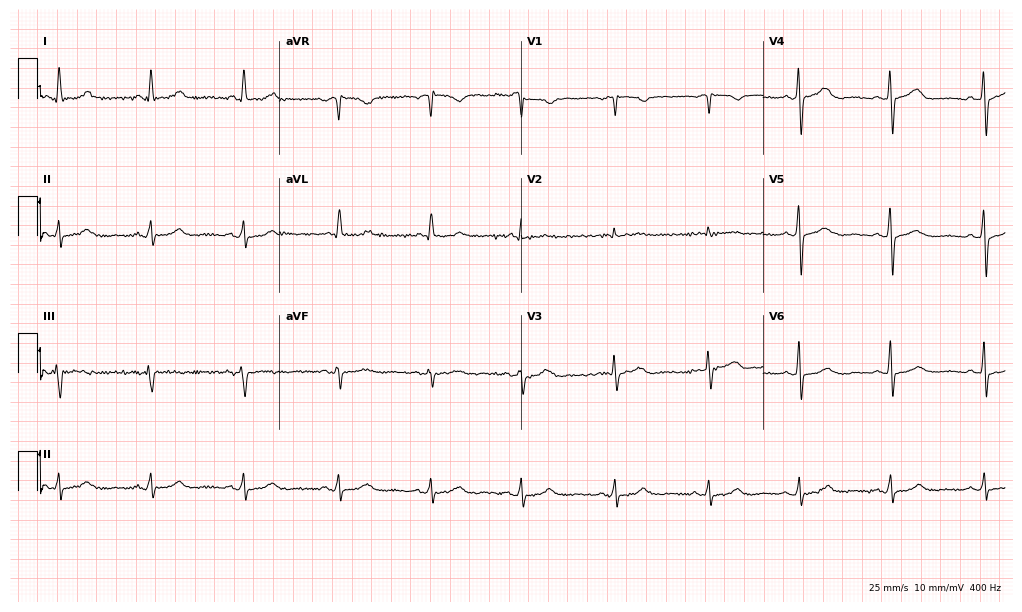
12-lead ECG from a 62-year-old woman. Recorded interpretation: within normal limits.